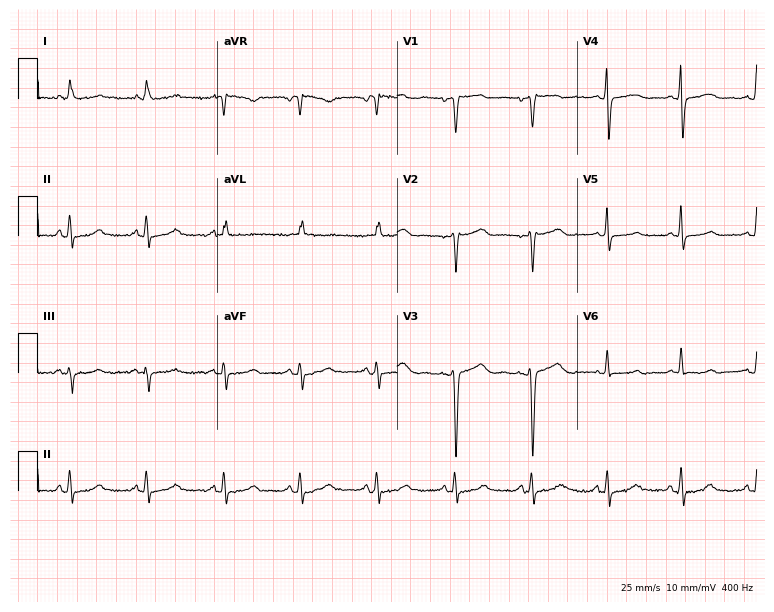
12-lead ECG from a 71-year-old female patient (7.3-second recording at 400 Hz). Recorded interpretation: within normal limits.